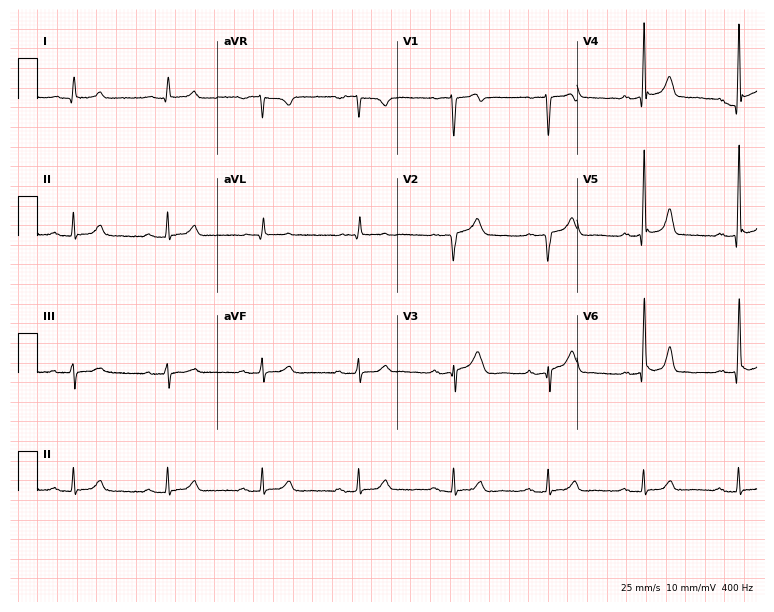
12-lead ECG from a 79-year-old man. Recorded interpretation: within normal limits.